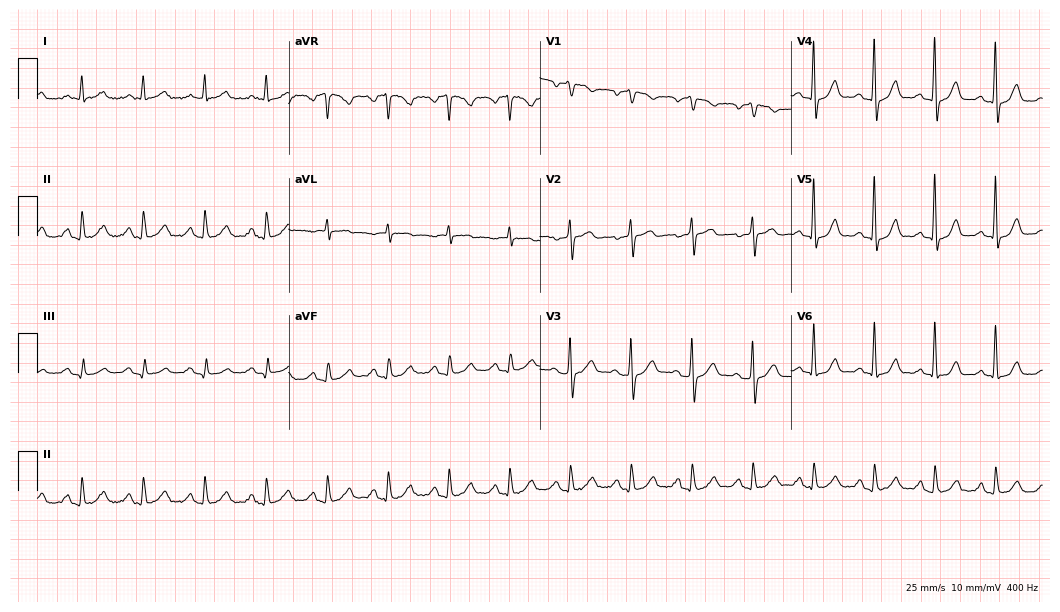
ECG — a 74-year-old female patient. Screened for six findings — first-degree AV block, right bundle branch block, left bundle branch block, sinus bradycardia, atrial fibrillation, sinus tachycardia — none is recorded. Only these six findings were labelled.